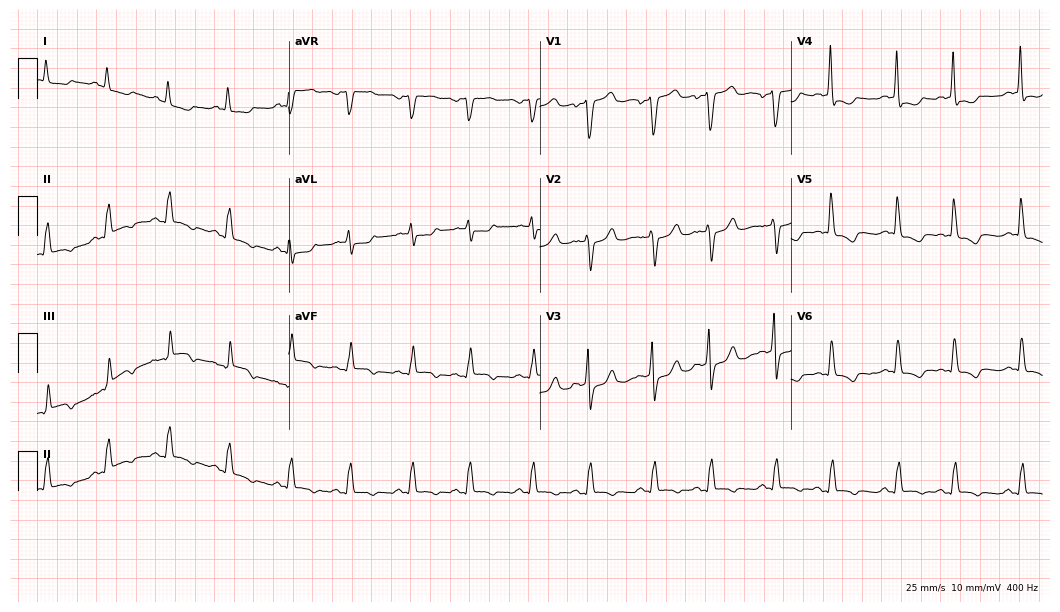
ECG — a man, 52 years old. Screened for six findings — first-degree AV block, right bundle branch block, left bundle branch block, sinus bradycardia, atrial fibrillation, sinus tachycardia — none is recorded.